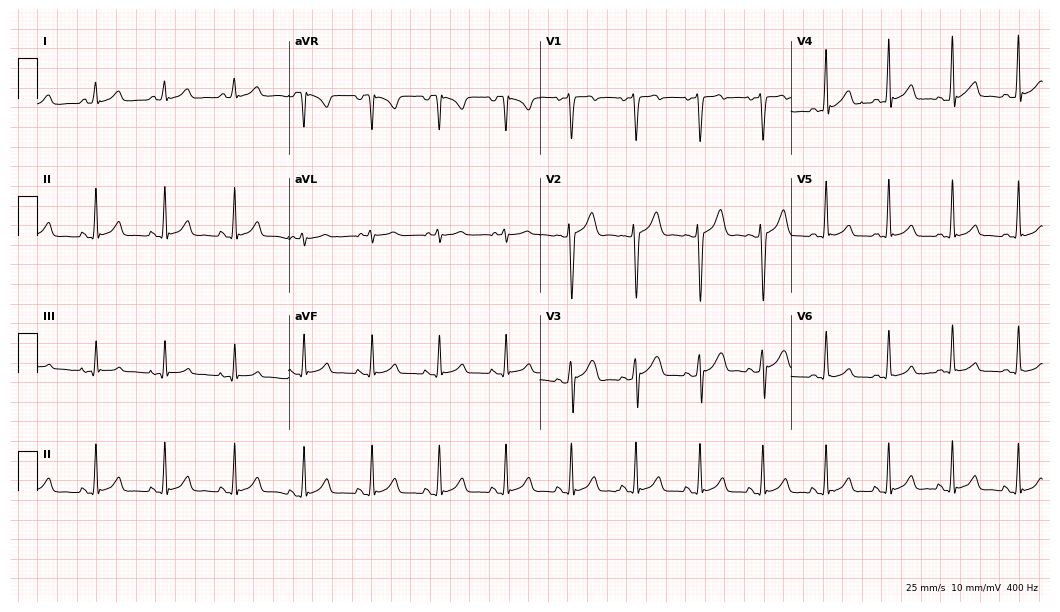
Electrocardiogram, a 23-year-old man. Overall reading on record: normal ECG.